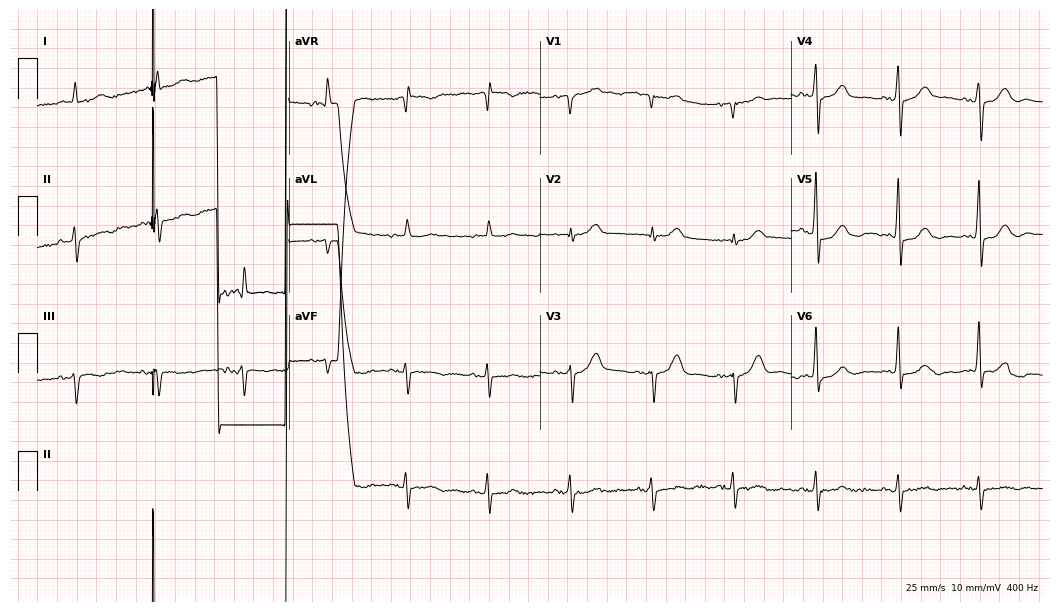
12-lead ECG from a man, 83 years old (10.2-second recording at 400 Hz). No first-degree AV block, right bundle branch block, left bundle branch block, sinus bradycardia, atrial fibrillation or sinus tachycardia recorded for this tracing.